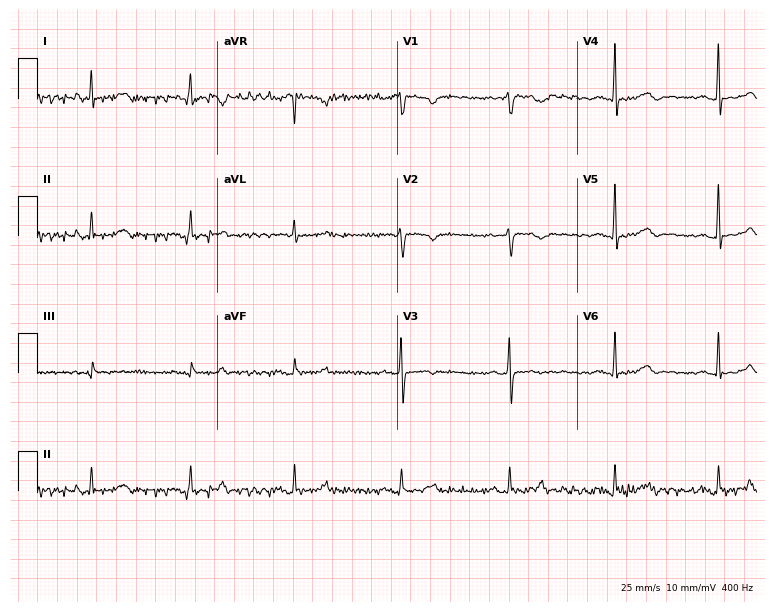
Electrocardiogram, a female patient, 41 years old. Of the six screened findings (first-degree AV block, right bundle branch block, left bundle branch block, sinus bradycardia, atrial fibrillation, sinus tachycardia), none is recorded.